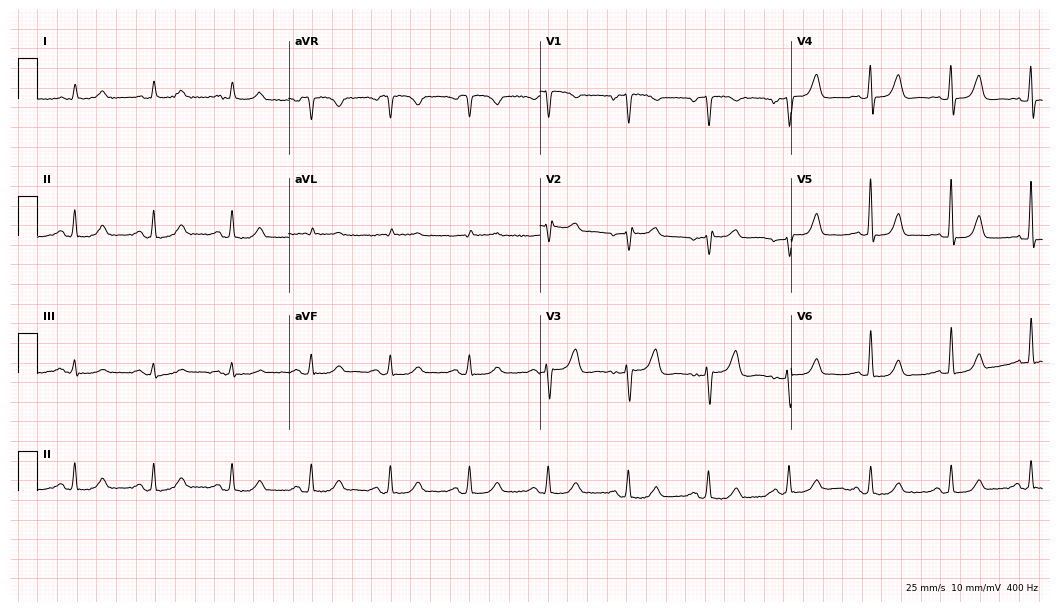
ECG — a woman, 73 years old. Screened for six findings — first-degree AV block, right bundle branch block (RBBB), left bundle branch block (LBBB), sinus bradycardia, atrial fibrillation (AF), sinus tachycardia — none is recorded. Findings outside these six are not listed.